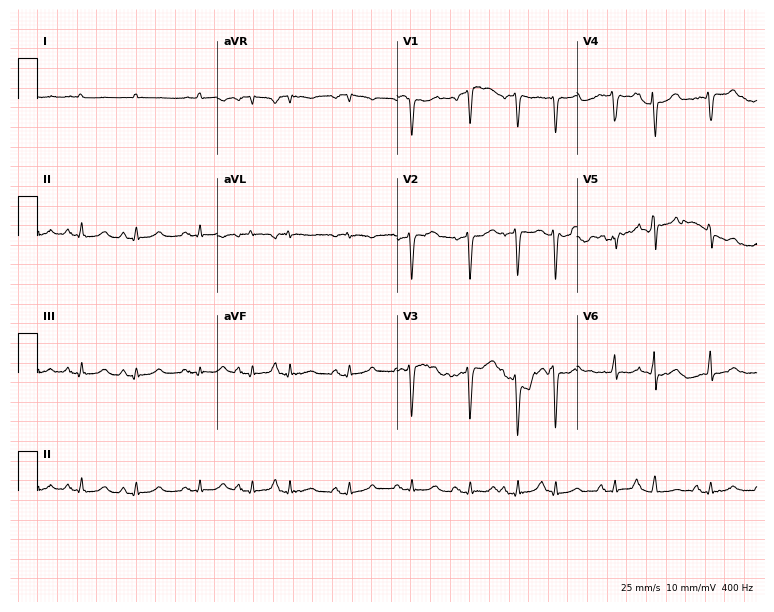
Electrocardiogram, a man, 72 years old. Of the six screened findings (first-degree AV block, right bundle branch block, left bundle branch block, sinus bradycardia, atrial fibrillation, sinus tachycardia), none is recorded.